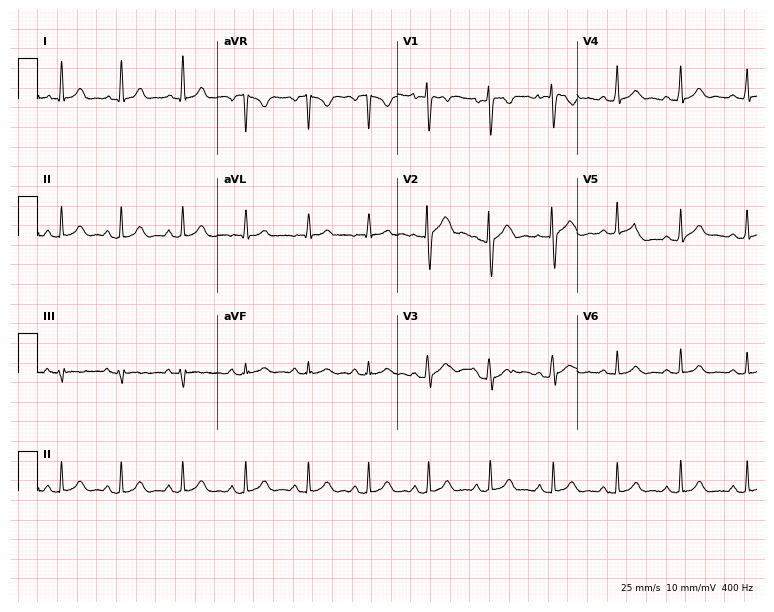
ECG — a male patient, 27 years old. Labelled as a normal ECG.